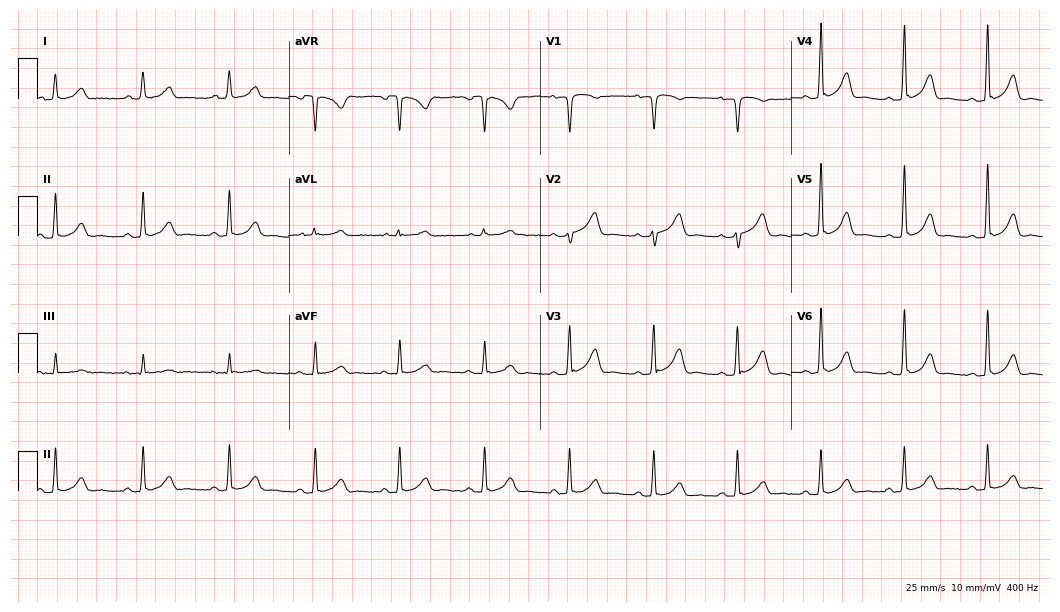
Standard 12-lead ECG recorded from a female, 53 years old (10.2-second recording at 400 Hz). Read as a normal ECG.